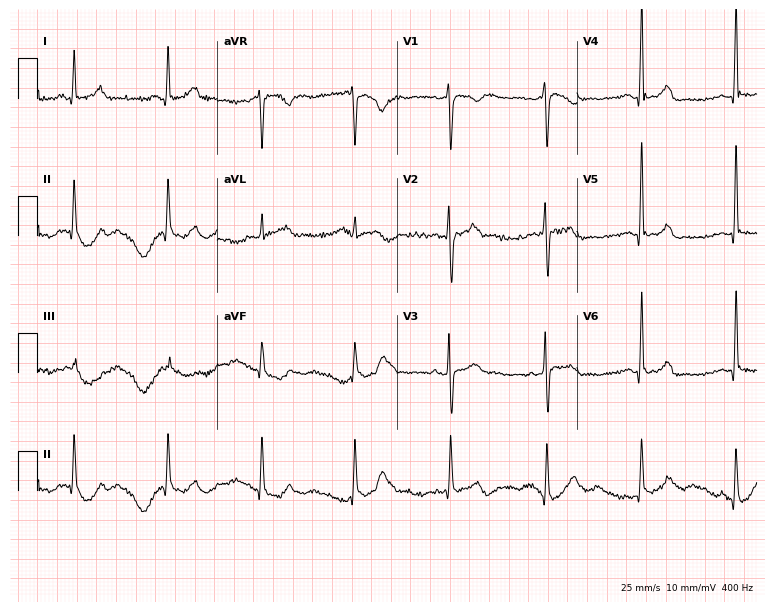
Standard 12-lead ECG recorded from a 47-year-old man (7.3-second recording at 400 Hz). Read as a normal ECG.